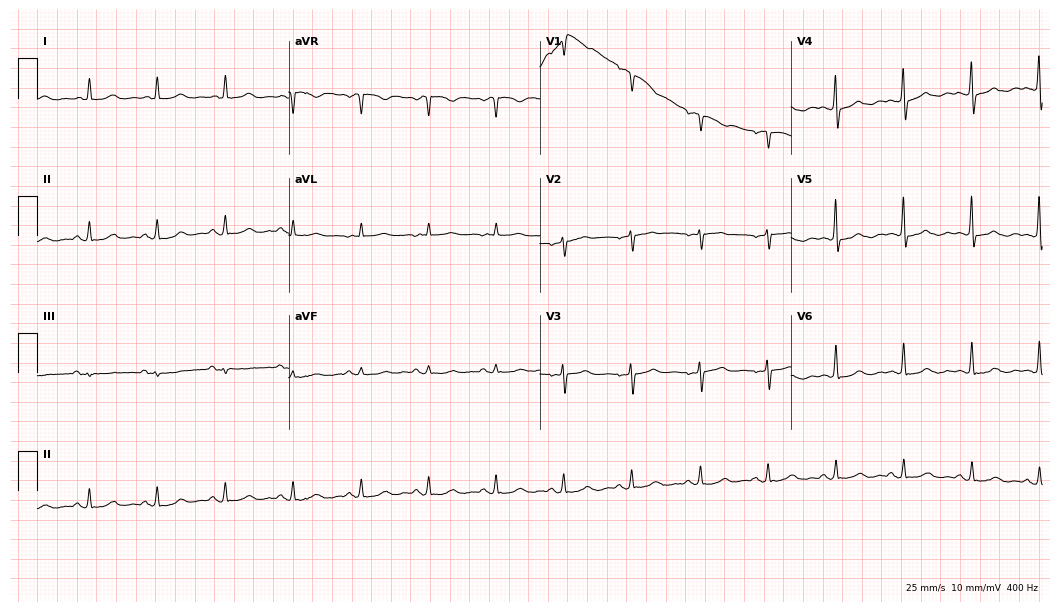
12-lead ECG from a female, 71 years old. Screened for six findings — first-degree AV block, right bundle branch block, left bundle branch block, sinus bradycardia, atrial fibrillation, sinus tachycardia — none is recorded. Other findings, if any, are not listed.